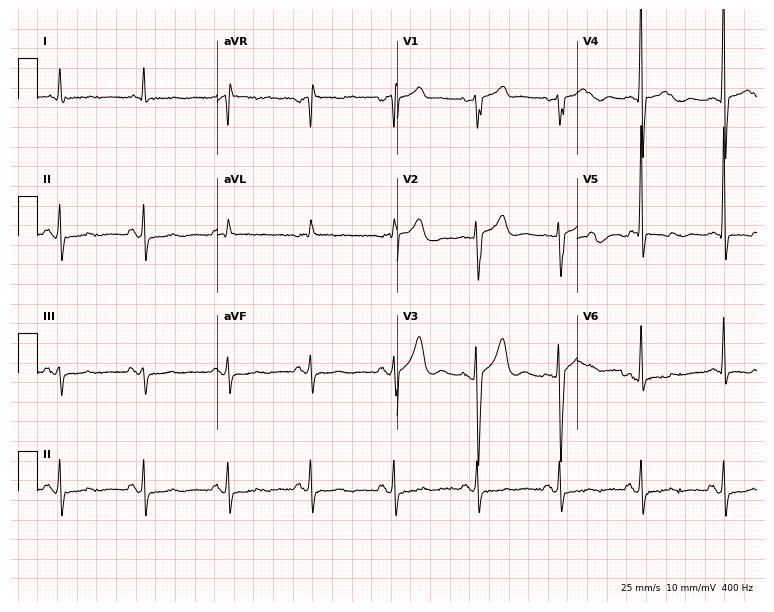
ECG (7.3-second recording at 400 Hz) — a male, 82 years old. Screened for six findings — first-degree AV block, right bundle branch block, left bundle branch block, sinus bradycardia, atrial fibrillation, sinus tachycardia — none is recorded.